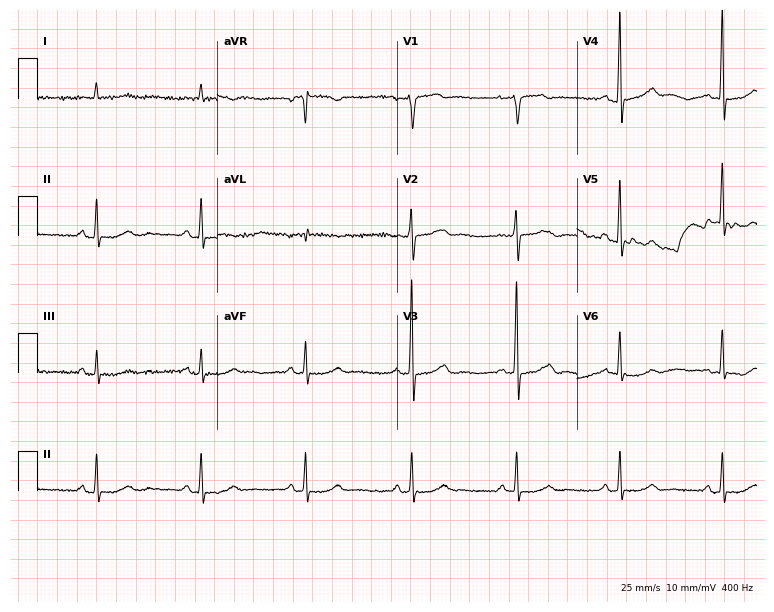
Electrocardiogram, a 75-year-old male. Overall reading on record: normal ECG.